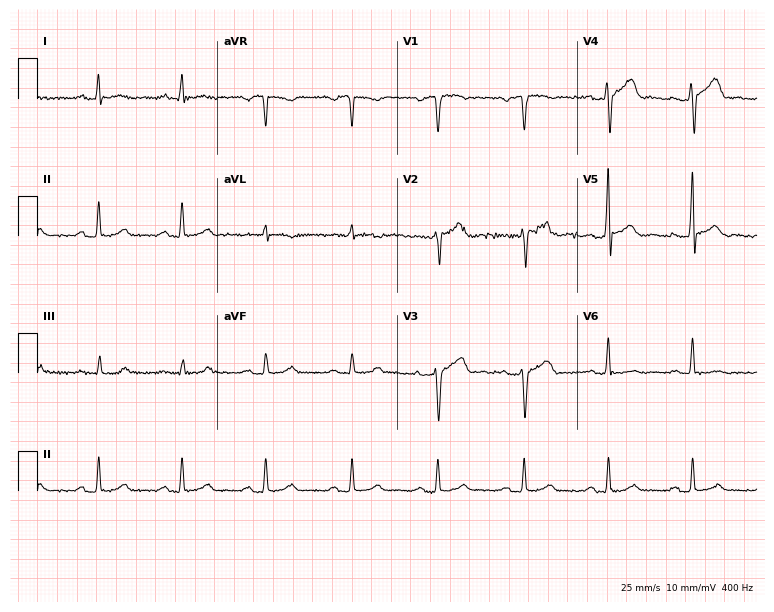
ECG (7.3-second recording at 400 Hz) — a 51-year-old man. Screened for six findings — first-degree AV block, right bundle branch block, left bundle branch block, sinus bradycardia, atrial fibrillation, sinus tachycardia — none is recorded.